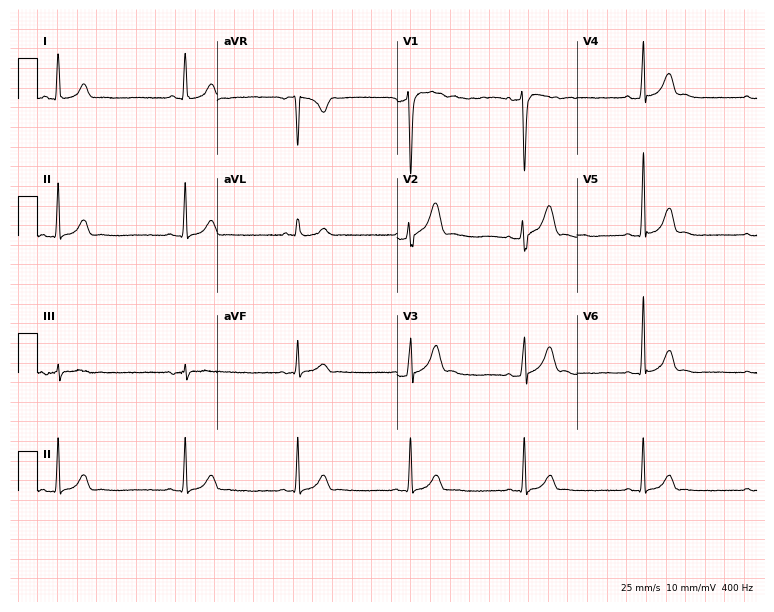
12-lead ECG from a 27-year-old male patient (7.3-second recording at 400 Hz). Recorded interpretation: within normal limits.